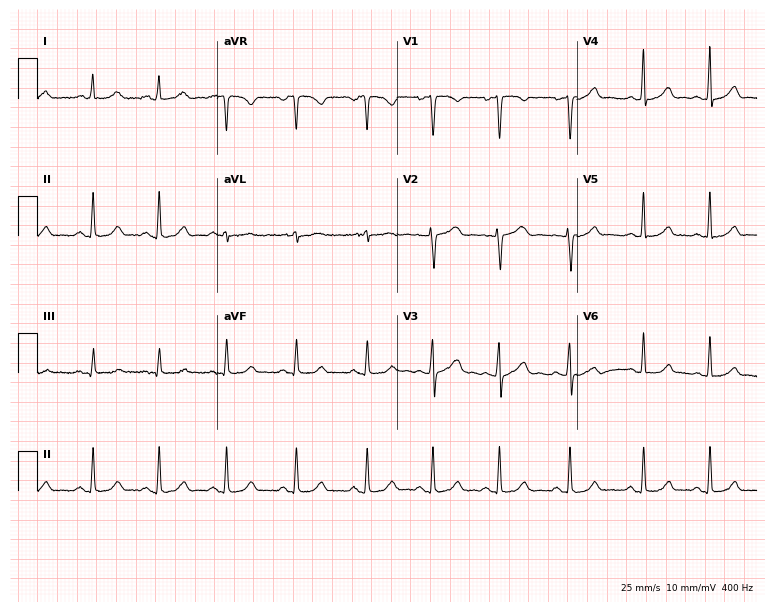
Standard 12-lead ECG recorded from a 26-year-old female patient (7.3-second recording at 400 Hz). None of these six findings is recorded: first-degree AV block, right bundle branch block, left bundle branch block, sinus bradycardia, atrial fibrillation, sinus tachycardia. Findings outside these six are not listed.